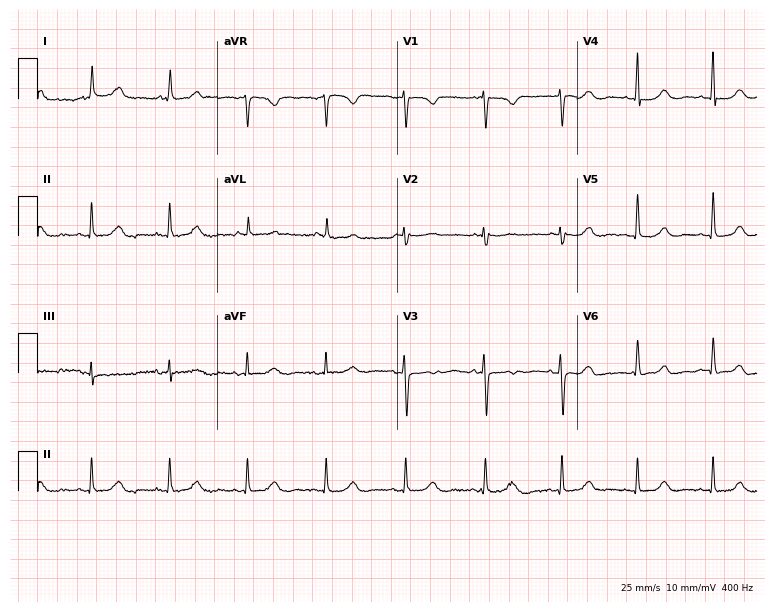
Resting 12-lead electrocardiogram (7.3-second recording at 400 Hz). Patient: a woman, 64 years old. Read as a normal ECG.